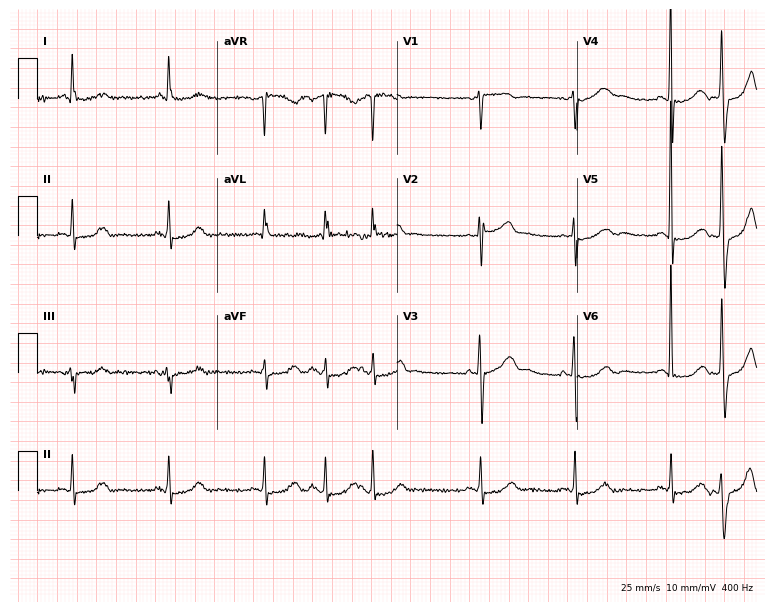
Electrocardiogram (7.3-second recording at 400 Hz), an 81-year-old female patient. Of the six screened findings (first-degree AV block, right bundle branch block, left bundle branch block, sinus bradycardia, atrial fibrillation, sinus tachycardia), none is recorded.